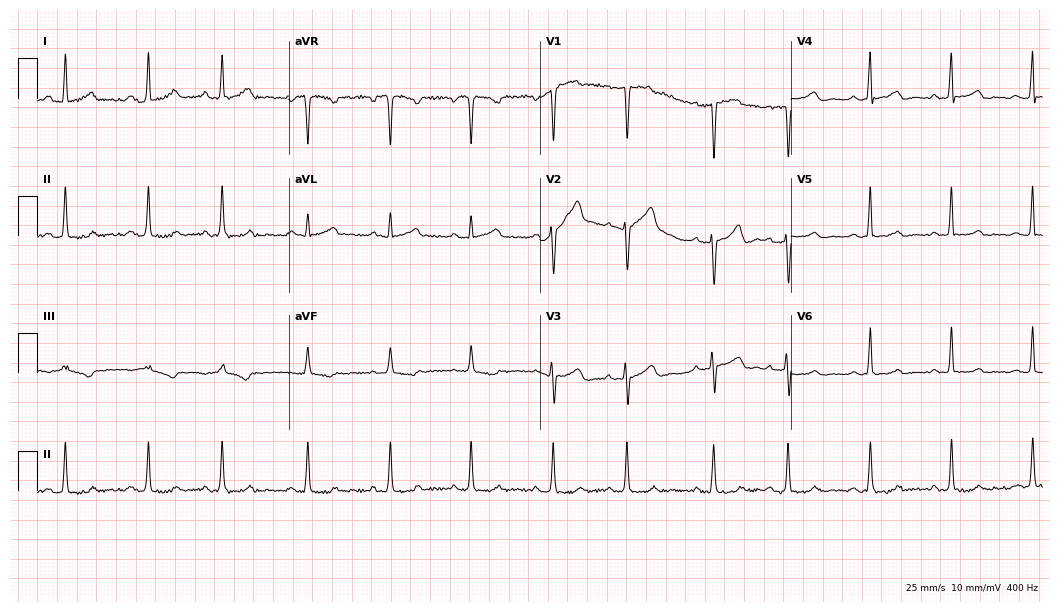
ECG — a 41-year-old woman. Screened for six findings — first-degree AV block, right bundle branch block, left bundle branch block, sinus bradycardia, atrial fibrillation, sinus tachycardia — none is recorded. Only these six findings were labelled.